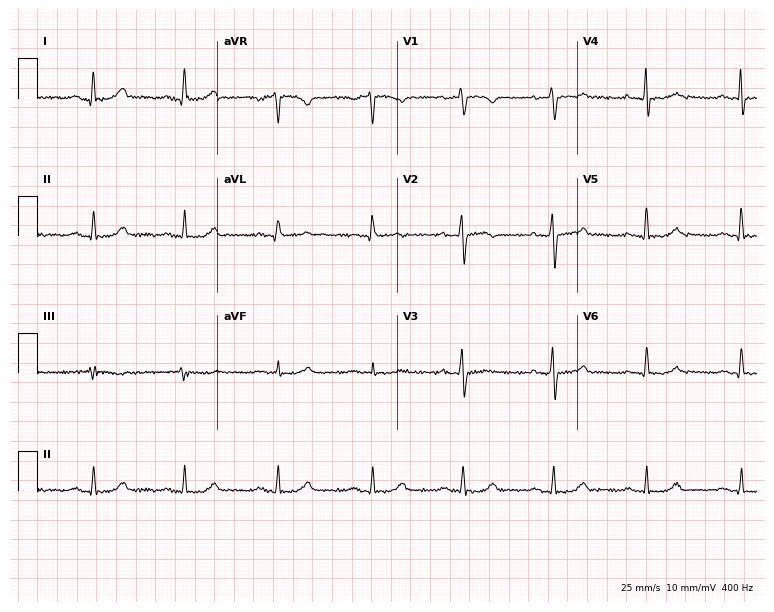
12-lead ECG from a 67-year-old woman. Recorded interpretation: within normal limits.